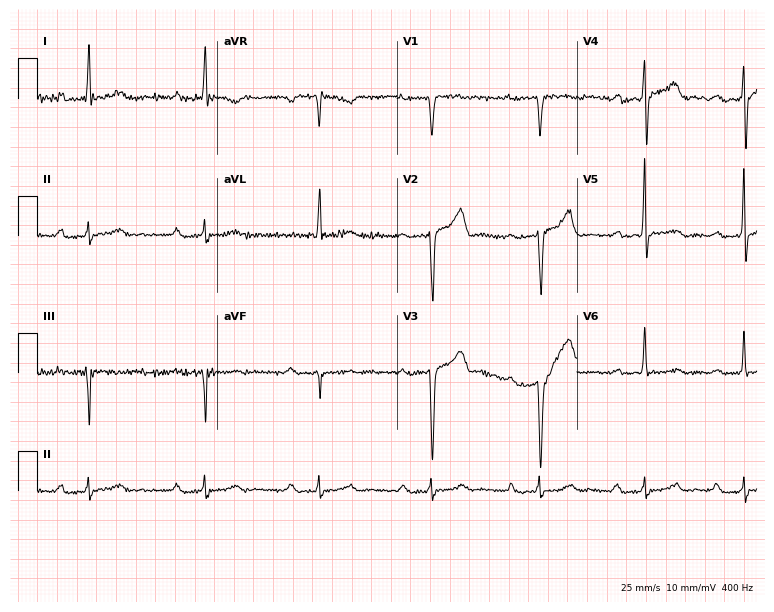
Electrocardiogram, a male, 74 years old. Interpretation includes first-degree AV block.